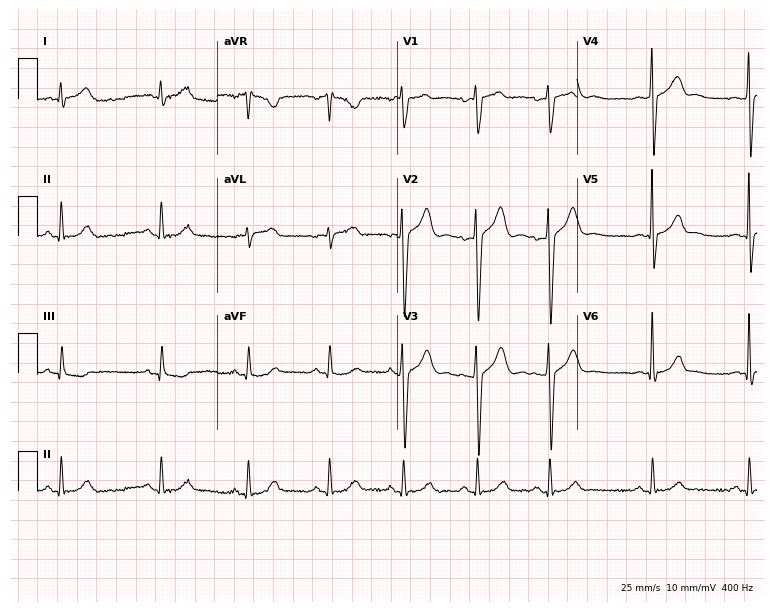
Resting 12-lead electrocardiogram (7.3-second recording at 400 Hz). Patient: a 40-year-old male. None of these six findings is recorded: first-degree AV block, right bundle branch block, left bundle branch block, sinus bradycardia, atrial fibrillation, sinus tachycardia.